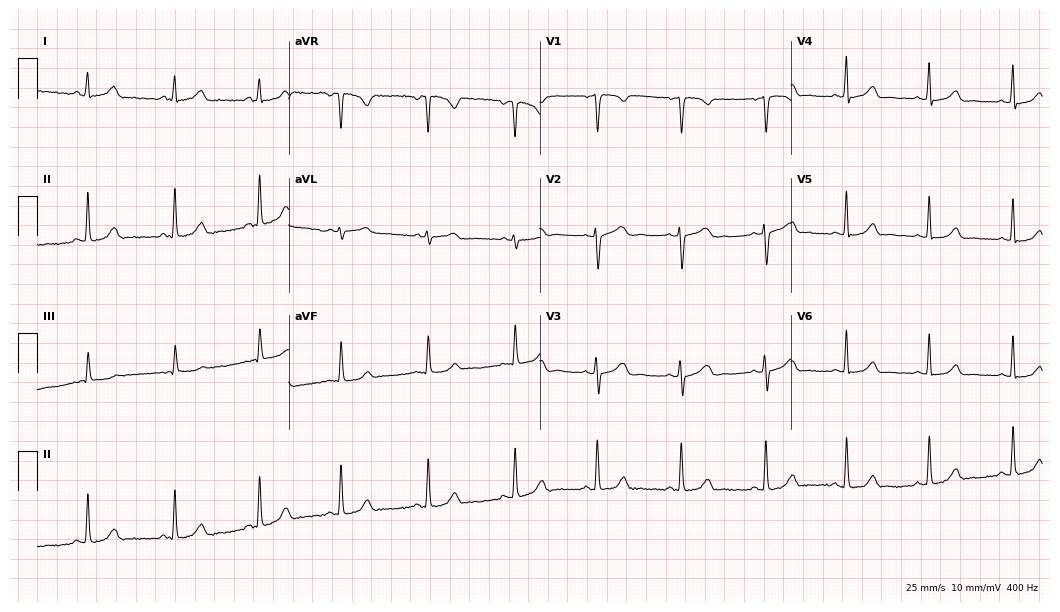
Standard 12-lead ECG recorded from a 34-year-old woman. None of these six findings is recorded: first-degree AV block, right bundle branch block, left bundle branch block, sinus bradycardia, atrial fibrillation, sinus tachycardia. Only these six findings were labelled.